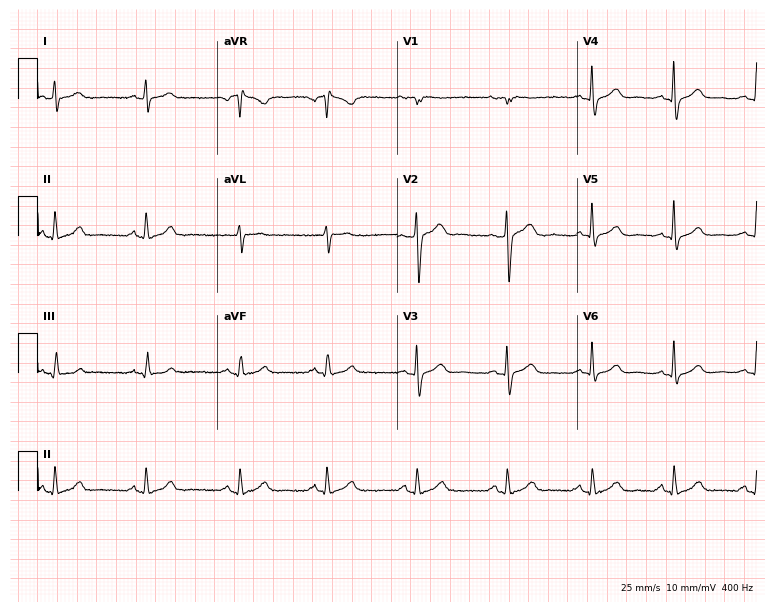
12-lead ECG (7.3-second recording at 400 Hz) from a female patient, 62 years old. Labelled as a normal ECG.